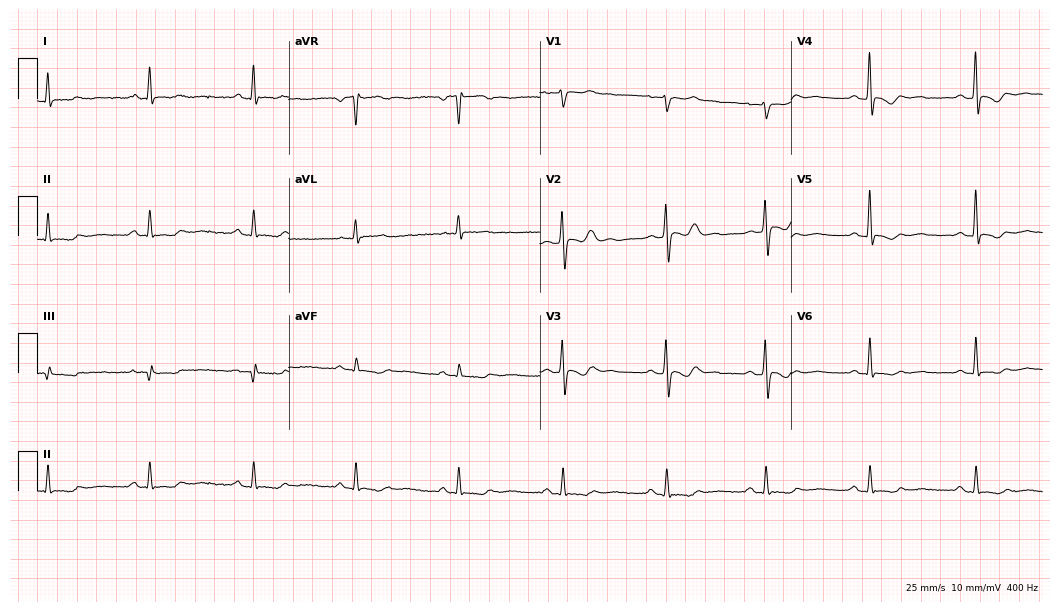
ECG (10.2-second recording at 400 Hz) — a 46-year-old female. Labelled as a normal ECG.